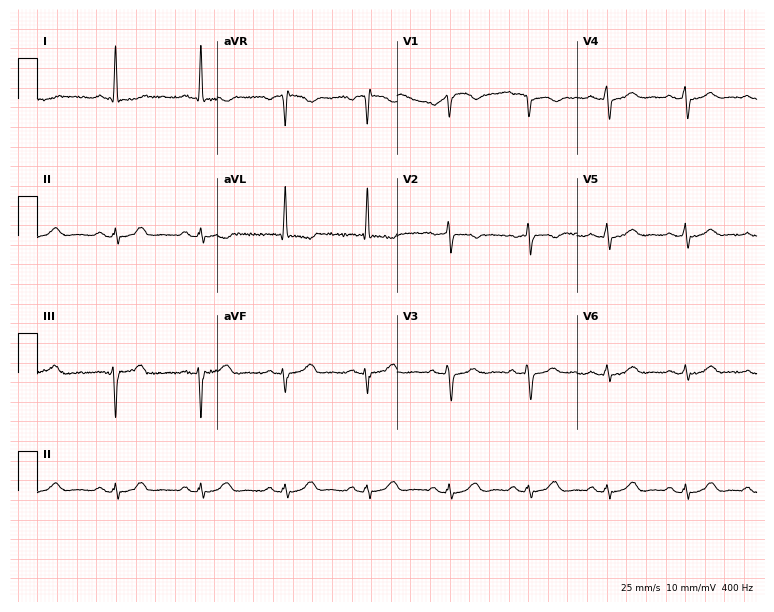
ECG — a 65-year-old female. Labelled as a normal ECG.